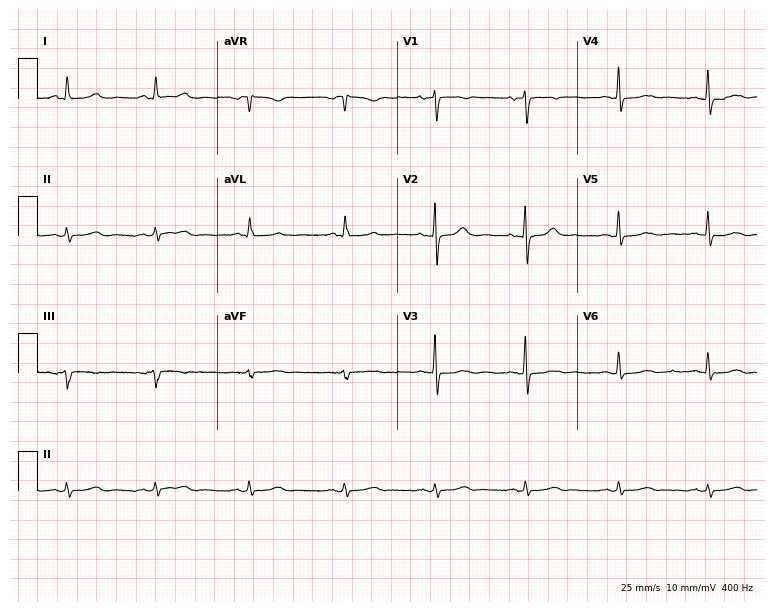
ECG (7.3-second recording at 400 Hz) — a 65-year-old female patient. Screened for six findings — first-degree AV block, right bundle branch block, left bundle branch block, sinus bradycardia, atrial fibrillation, sinus tachycardia — none is recorded.